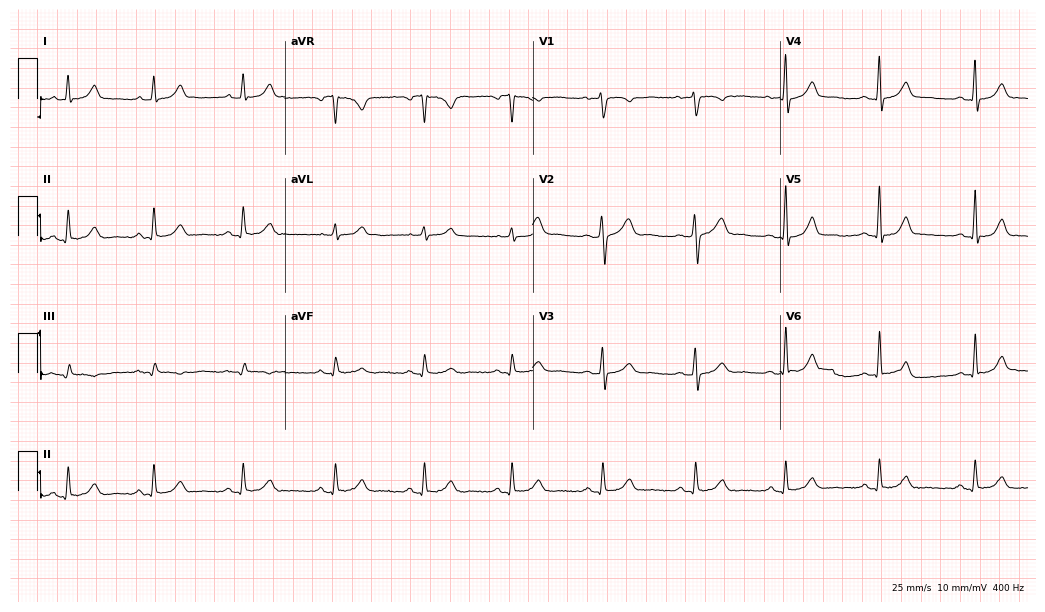
Electrocardiogram (10.1-second recording at 400 Hz), a female, 40 years old. Overall reading on record: normal ECG.